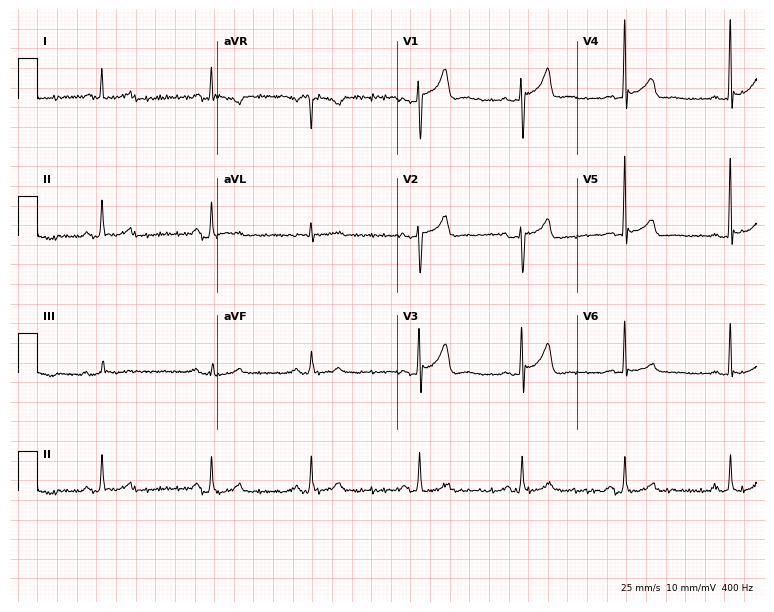
Electrocardiogram (7.3-second recording at 400 Hz), a man, 63 years old. Of the six screened findings (first-degree AV block, right bundle branch block, left bundle branch block, sinus bradycardia, atrial fibrillation, sinus tachycardia), none is recorded.